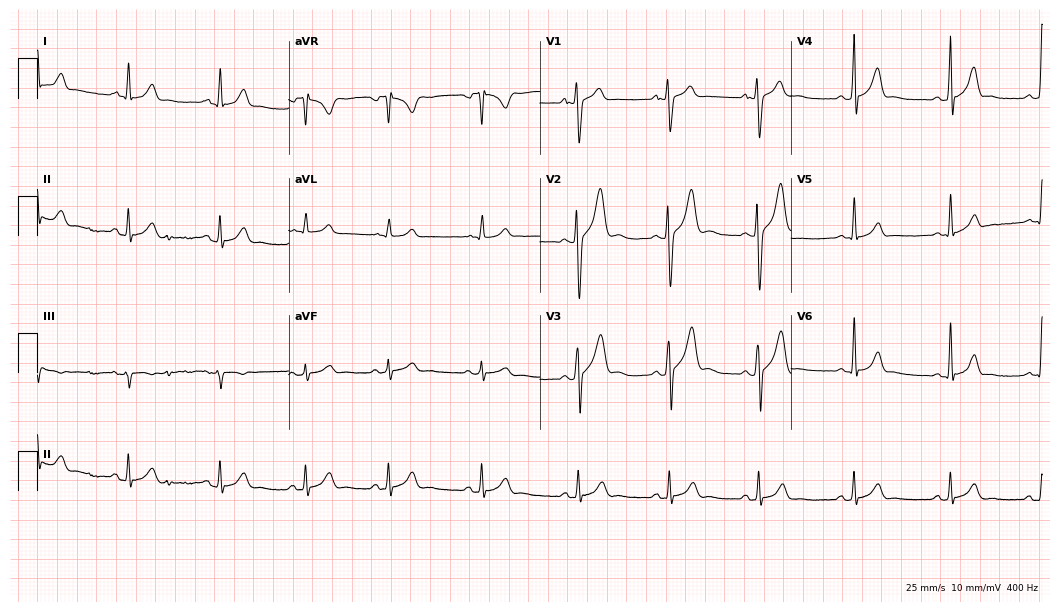
ECG — a 19-year-old male patient. Labelled as a normal ECG.